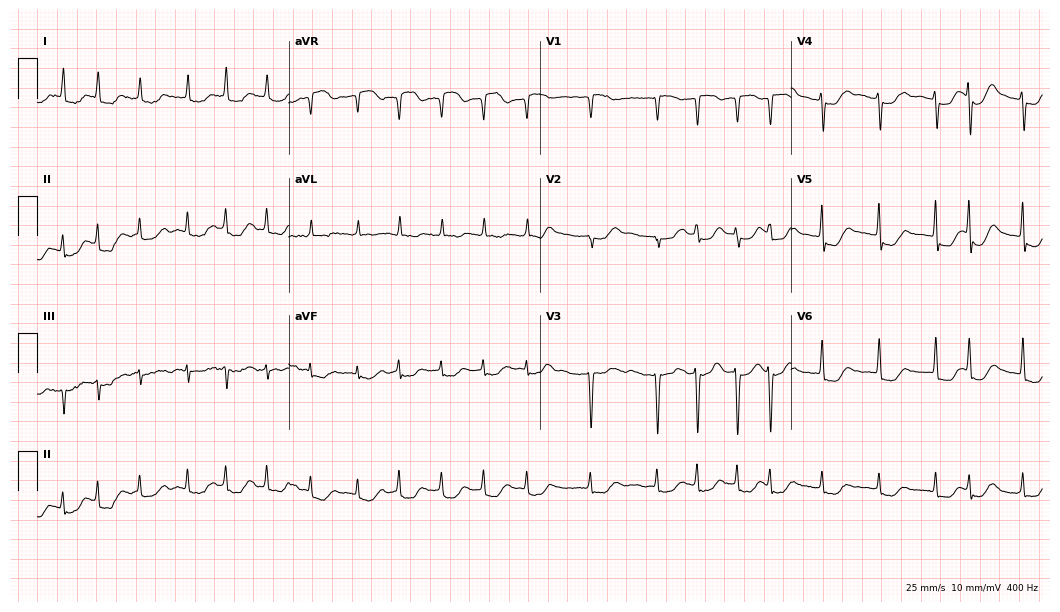
Electrocardiogram, an 83-year-old female patient. Interpretation includes atrial fibrillation.